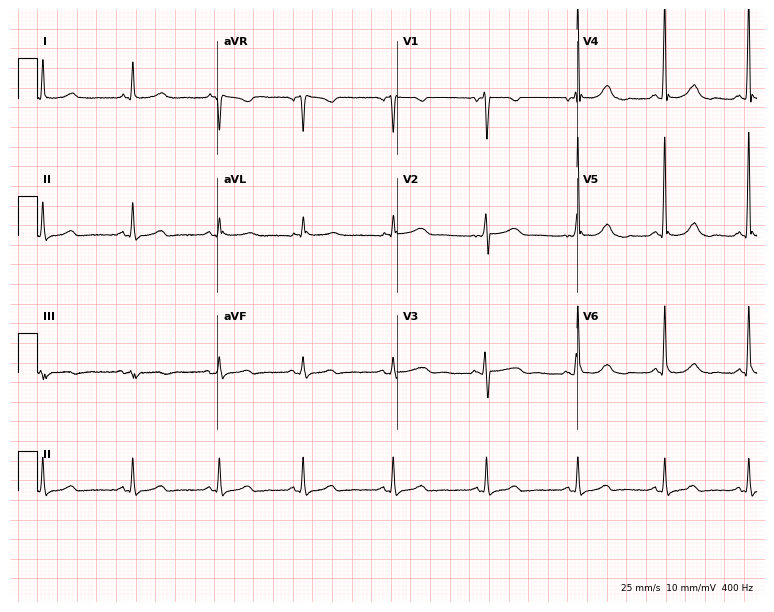
Resting 12-lead electrocardiogram (7.3-second recording at 400 Hz). Patient: a woman, 70 years old. Read as a normal ECG.